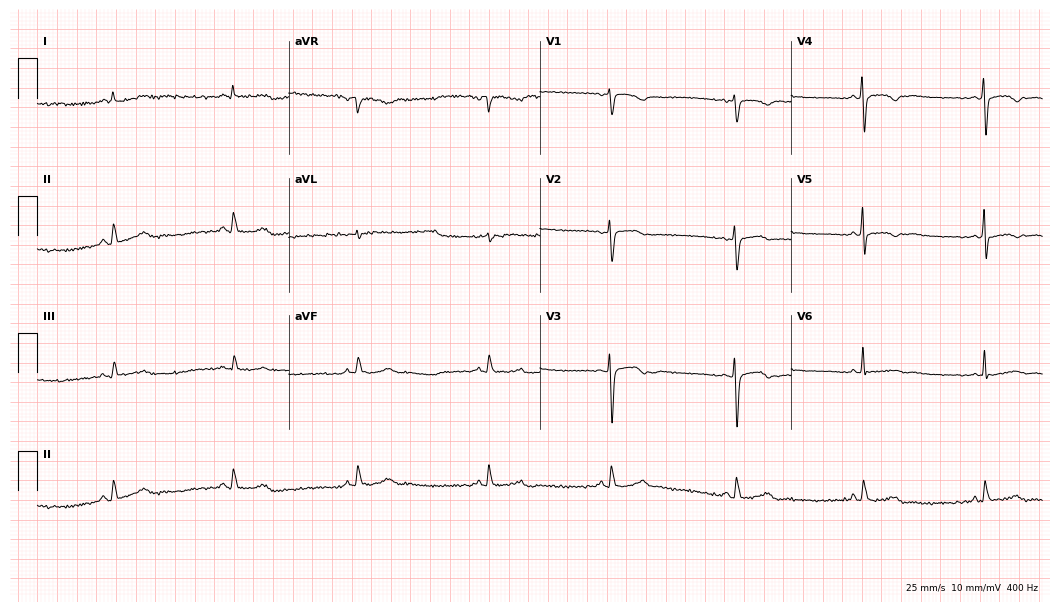
Resting 12-lead electrocardiogram (10.2-second recording at 400 Hz). Patient: a woman, 56 years old. The tracing shows sinus bradycardia (a sinus rate of 50 beats per minute or less).